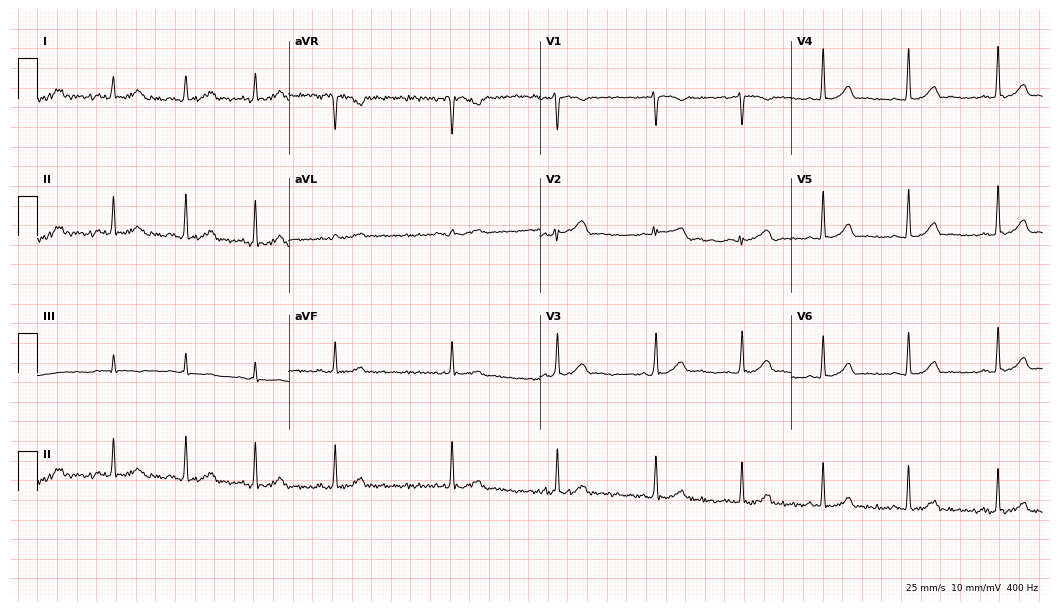
ECG — a woman, 22 years old. Labelled as a normal ECG.